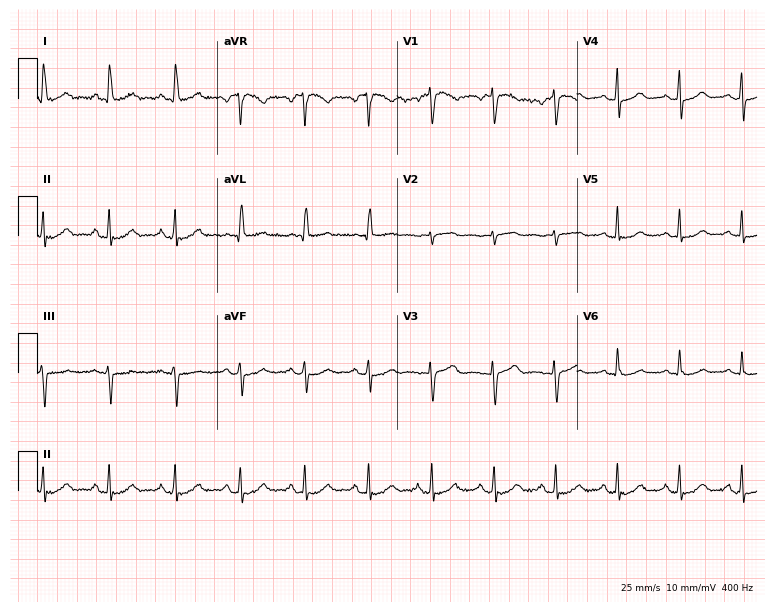
ECG — a 52-year-old woman. Screened for six findings — first-degree AV block, right bundle branch block, left bundle branch block, sinus bradycardia, atrial fibrillation, sinus tachycardia — none is recorded.